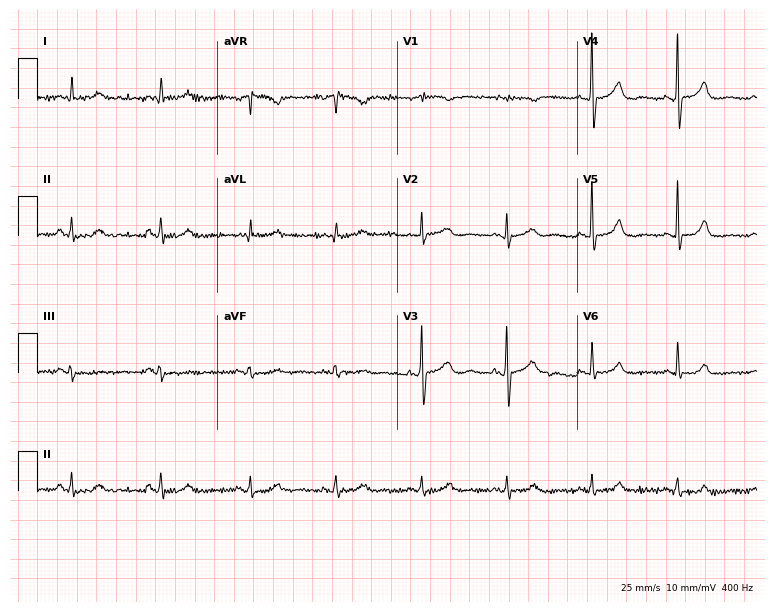
12-lead ECG from an 80-year-old woman (7.3-second recording at 400 Hz). No first-degree AV block, right bundle branch block (RBBB), left bundle branch block (LBBB), sinus bradycardia, atrial fibrillation (AF) or sinus tachycardia recorded for this tracing. Other findings, if any, are not listed.